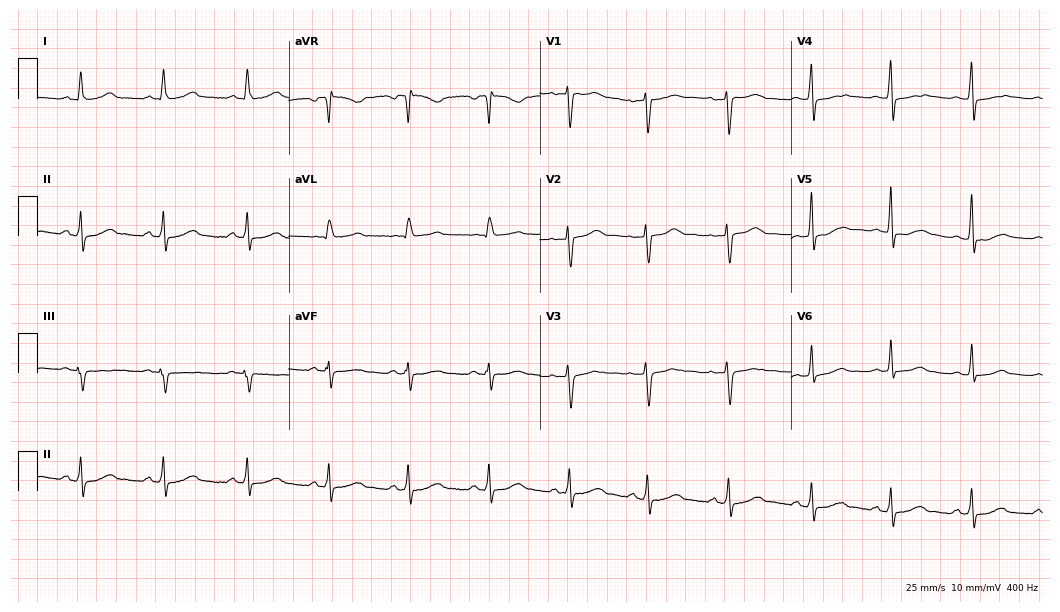
ECG — a woman, 41 years old. Labelled as a normal ECG.